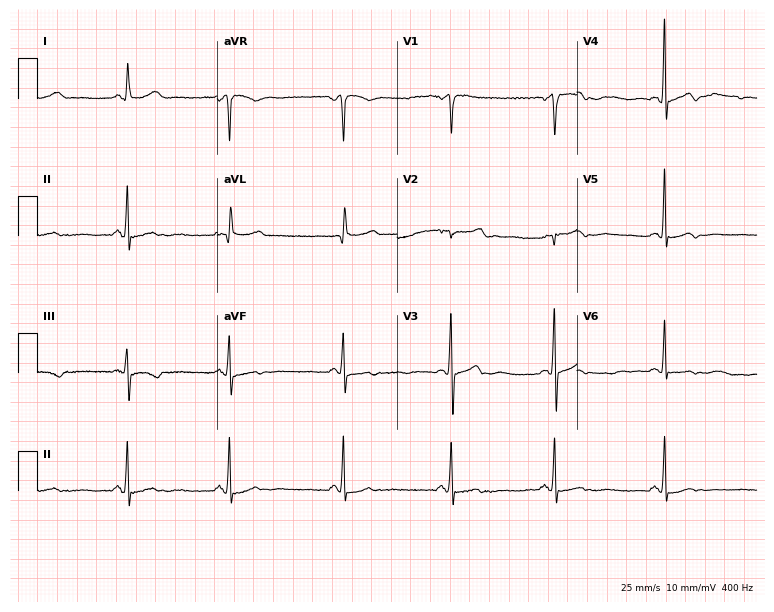
12-lead ECG from a female, 63 years old. No first-degree AV block, right bundle branch block (RBBB), left bundle branch block (LBBB), sinus bradycardia, atrial fibrillation (AF) or sinus tachycardia recorded for this tracing. Findings outside these six are not listed.